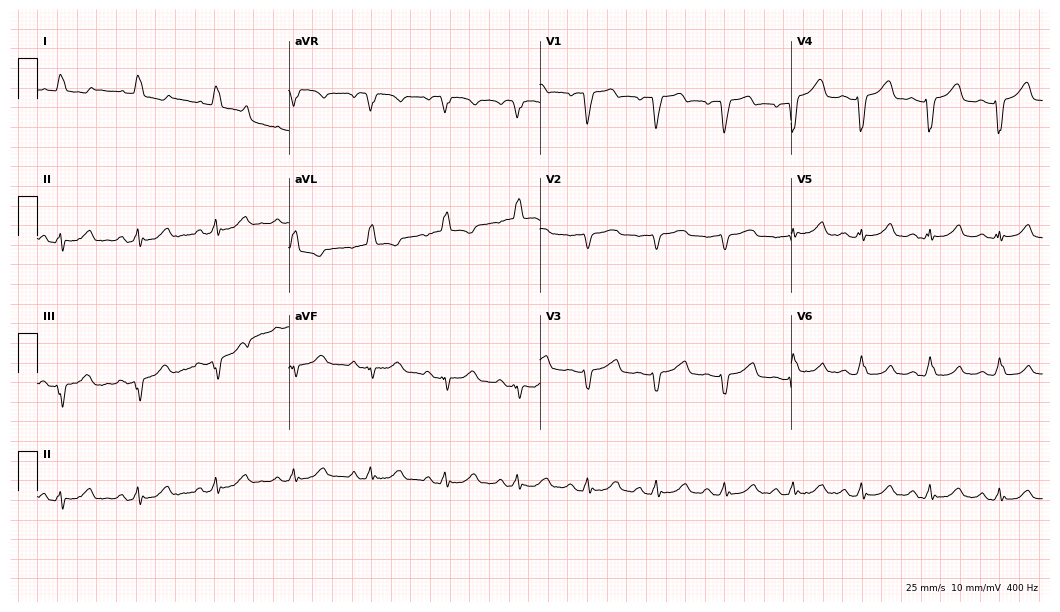
Electrocardiogram (10.2-second recording at 400 Hz), a female patient, 82 years old. Interpretation includes left bundle branch block.